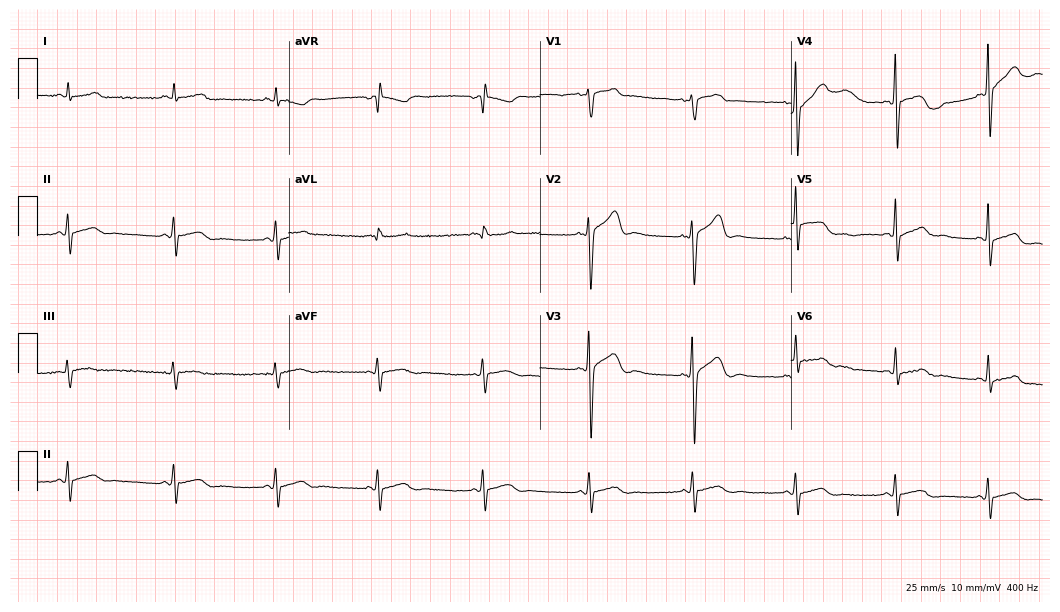
ECG (10.2-second recording at 400 Hz) — a man, 59 years old. Screened for six findings — first-degree AV block, right bundle branch block, left bundle branch block, sinus bradycardia, atrial fibrillation, sinus tachycardia — none is recorded. Other findings, if any, are not listed.